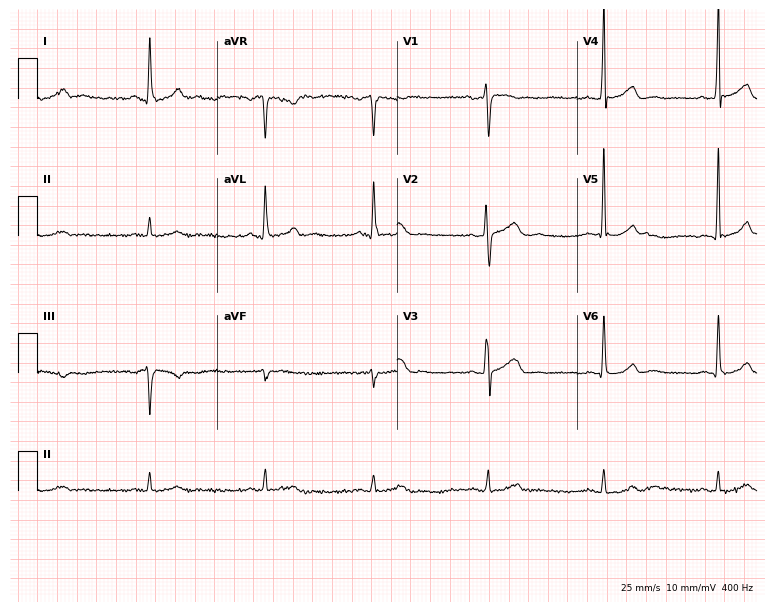
Electrocardiogram (7.3-second recording at 400 Hz), a female, 38 years old. Of the six screened findings (first-degree AV block, right bundle branch block, left bundle branch block, sinus bradycardia, atrial fibrillation, sinus tachycardia), none is recorded. Findings outside these six are not listed.